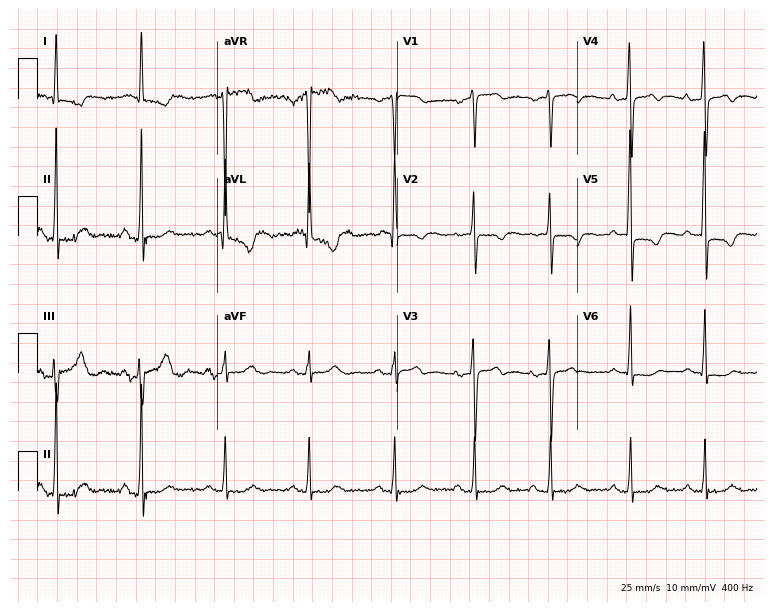
Standard 12-lead ECG recorded from an 84-year-old female (7.3-second recording at 400 Hz). None of these six findings is recorded: first-degree AV block, right bundle branch block, left bundle branch block, sinus bradycardia, atrial fibrillation, sinus tachycardia.